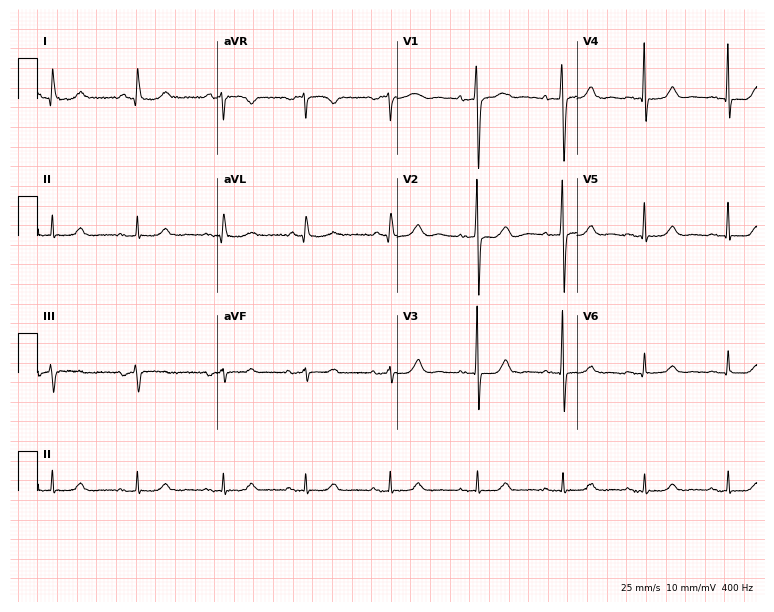
Standard 12-lead ECG recorded from a female, 58 years old (7.3-second recording at 400 Hz). Read as a normal ECG.